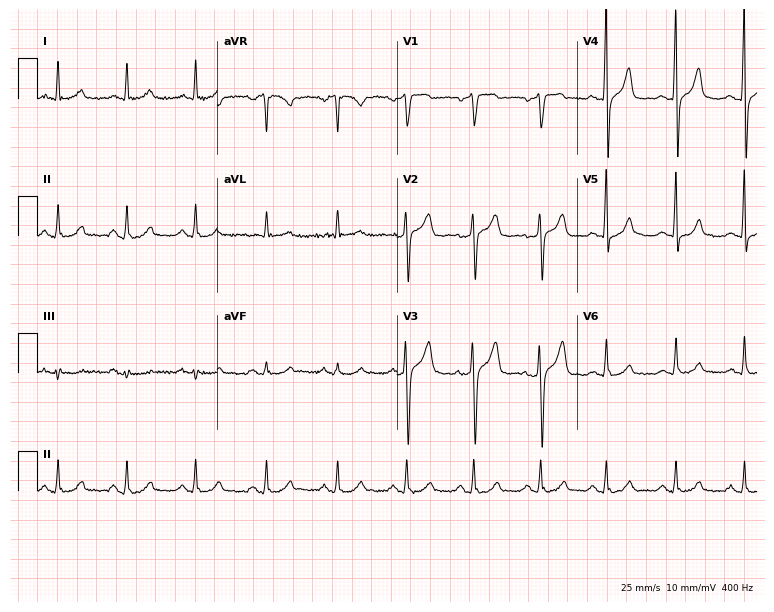
12-lead ECG from a 56-year-old male patient. Screened for six findings — first-degree AV block, right bundle branch block, left bundle branch block, sinus bradycardia, atrial fibrillation, sinus tachycardia — none is recorded. Findings outside these six are not listed.